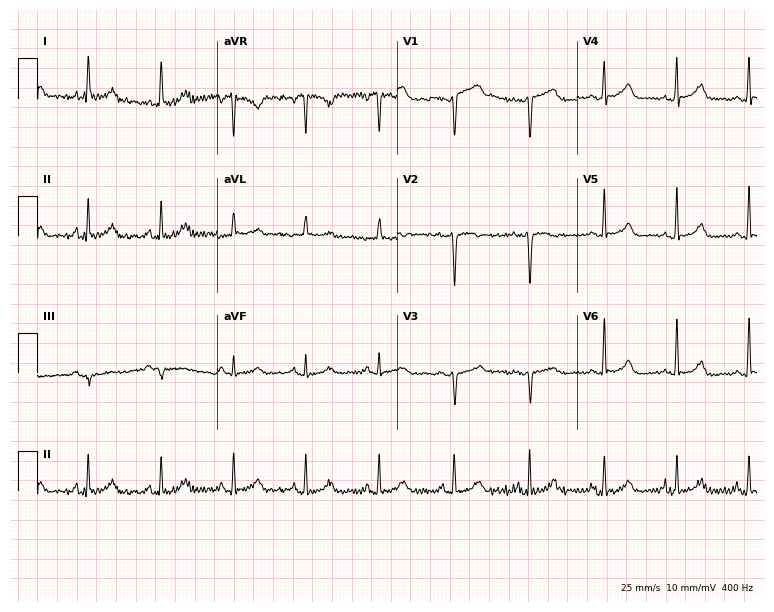
Standard 12-lead ECG recorded from a female, 37 years old (7.3-second recording at 400 Hz). None of these six findings is recorded: first-degree AV block, right bundle branch block (RBBB), left bundle branch block (LBBB), sinus bradycardia, atrial fibrillation (AF), sinus tachycardia. Findings outside these six are not listed.